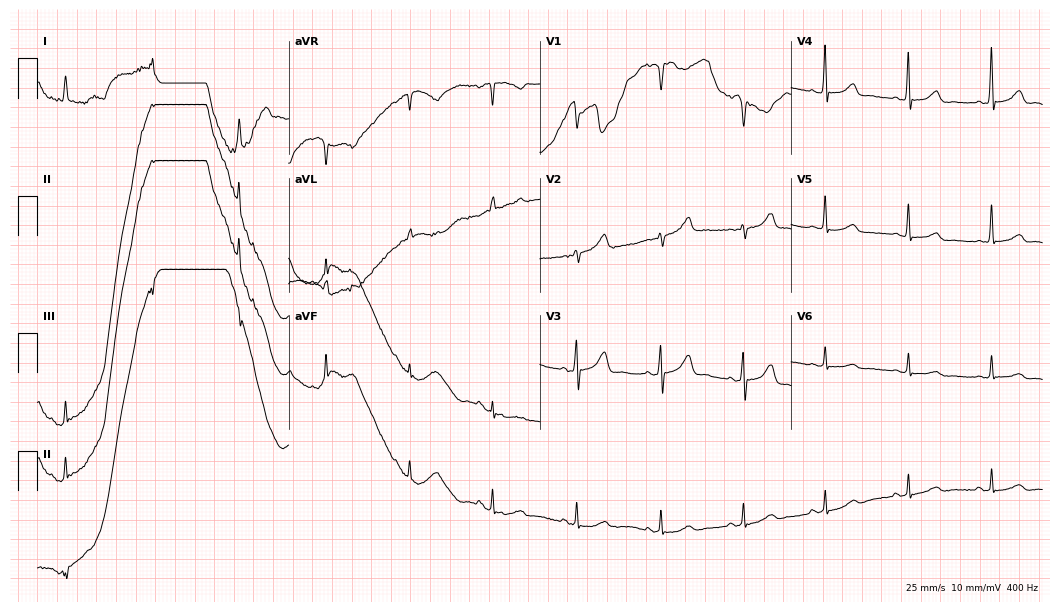
12-lead ECG from an 80-year-old woman. Screened for six findings — first-degree AV block, right bundle branch block, left bundle branch block, sinus bradycardia, atrial fibrillation, sinus tachycardia — none is recorded.